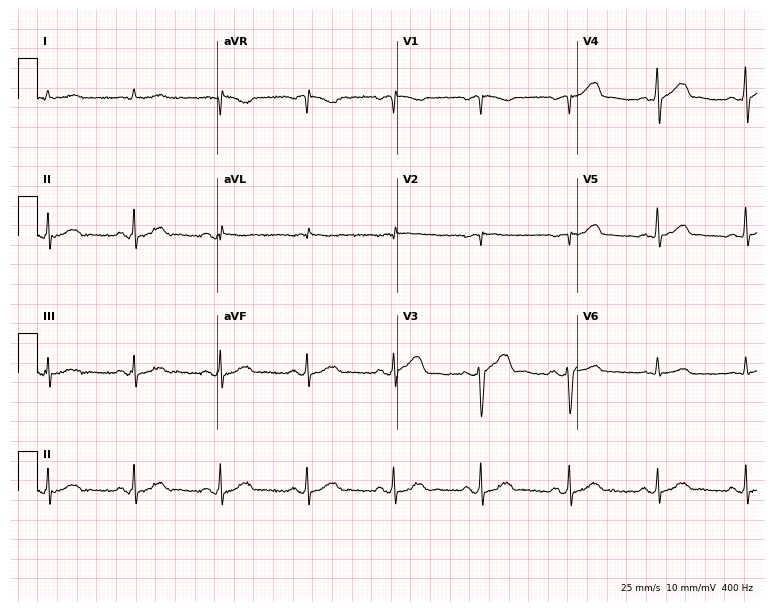
Standard 12-lead ECG recorded from a male patient, 76 years old. Read as a normal ECG.